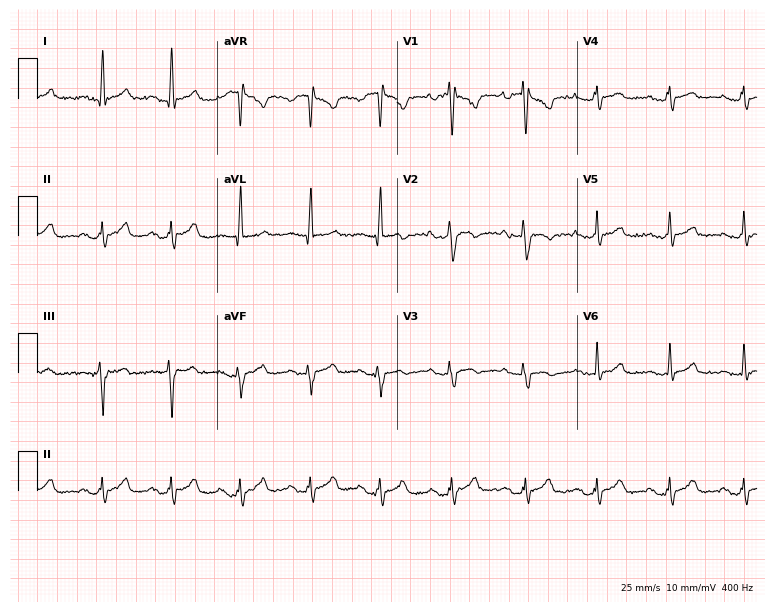
12-lead ECG from a man, 23 years old (7.3-second recording at 400 Hz). No first-degree AV block, right bundle branch block, left bundle branch block, sinus bradycardia, atrial fibrillation or sinus tachycardia recorded for this tracing.